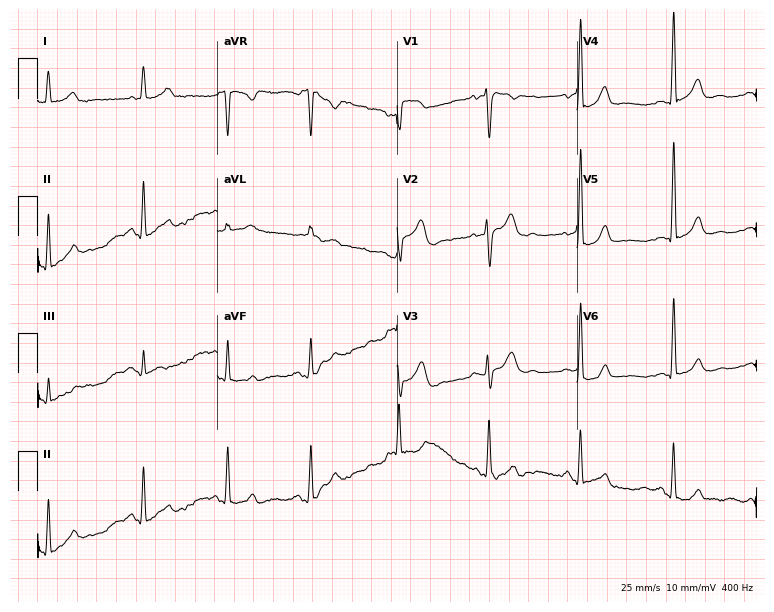
ECG — a 34-year-old male. Screened for six findings — first-degree AV block, right bundle branch block, left bundle branch block, sinus bradycardia, atrial fibrillation, sinus tachycardia — none is recorded.